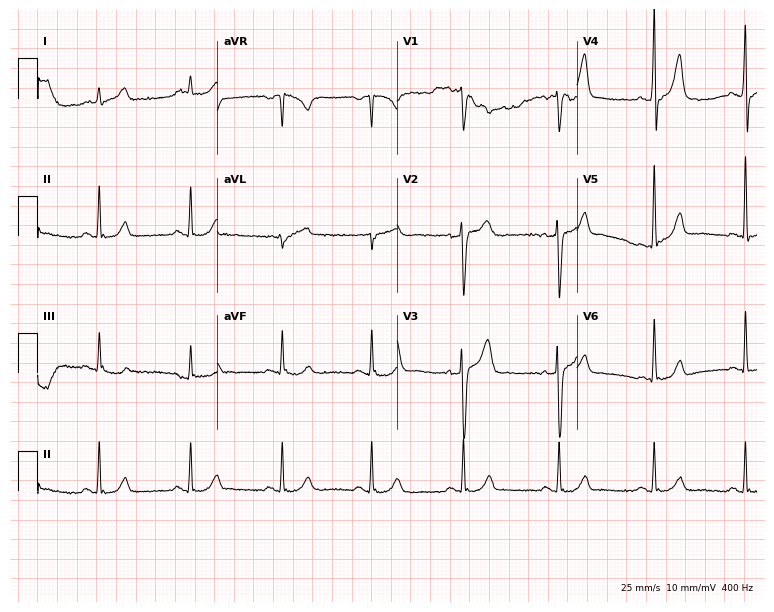
12-lead ECG from a male patient, 52 years old (7.3-second recording at 400 Hz). Recorded interpretation: within normal limits.